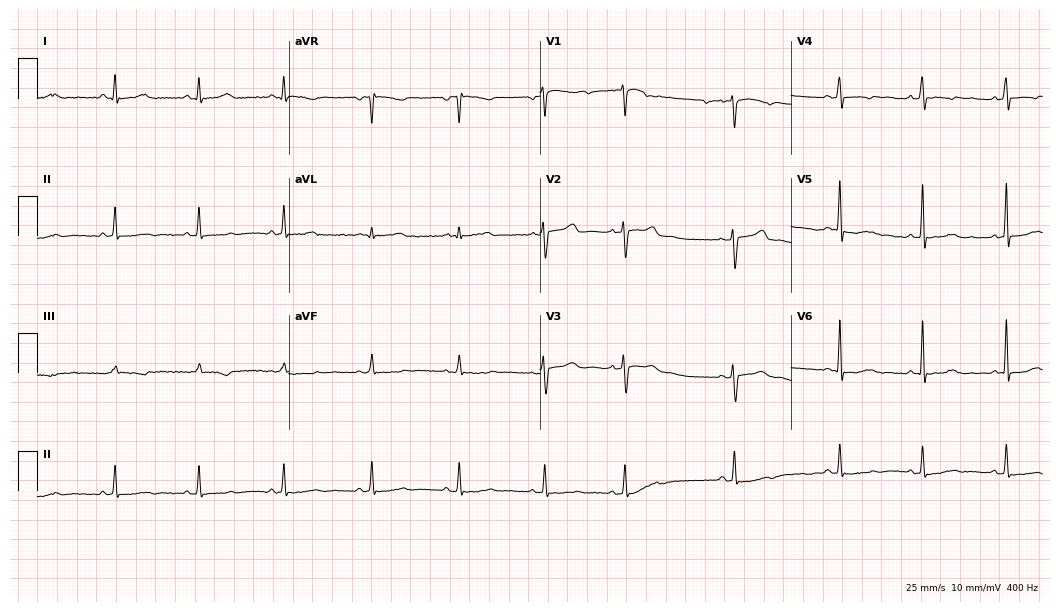
12-lead ECG from a woman, 30 years old. No first-degree AV block, right bundle branch block (RBBB), left bundle branch block (LBBB), sinus bradycardia, atrial fibrillation (AF) or sinus tachycardia recorded for this tracing. Findings outside these six are not listed.